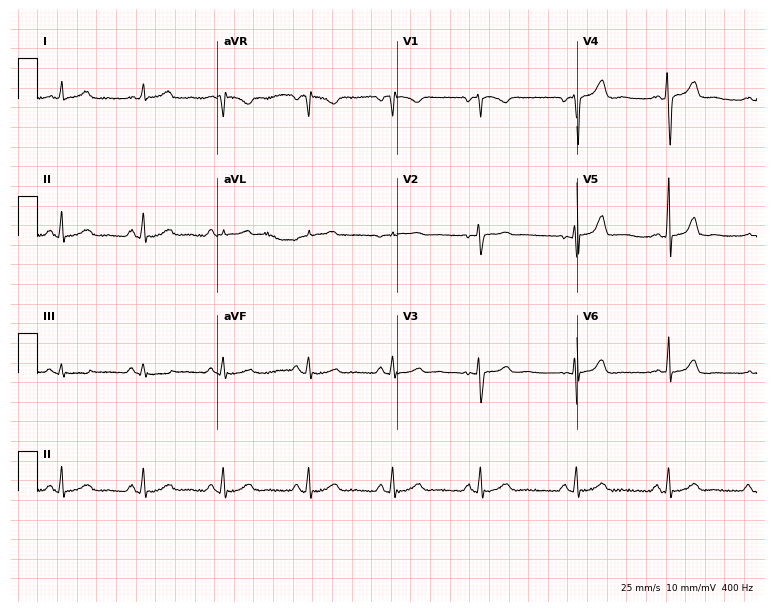
12-lead ECG from a woman, 30 years old (7.3-second recording at 400 Hz). Recorded interpretation: within normal limits.